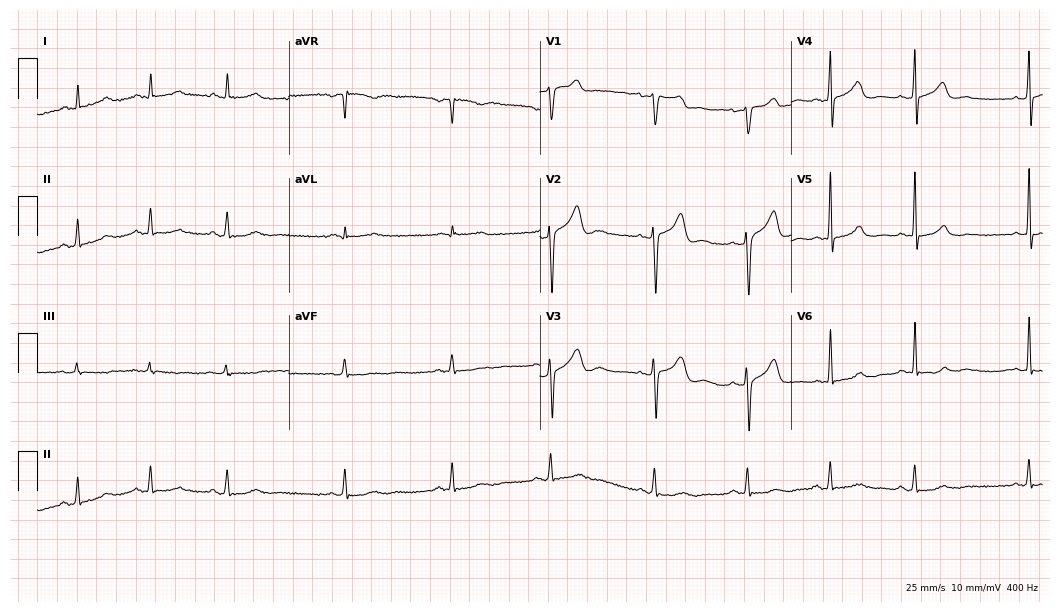
Standard 12-lead ECG recorded from a male, 49 years old (10.2-second recording at 400 Hz). None of these six findings is recorded: first-degree AV block, right bundle branch block, left bundle branch block, sinus bradycardia, atrial fibrillation, sinus tachycardia.